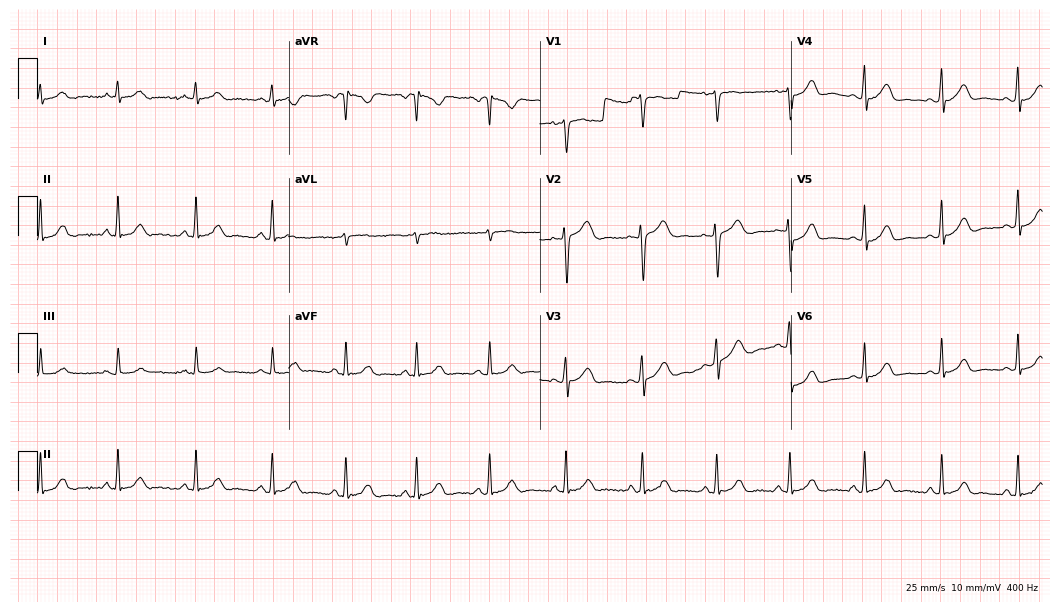
Standard 12-lead ECG recorded from a woman, 22 years old (10.2-second recording at 400 Hz). None of these six findings is recorded: first-degree AV block, right bundle branch block (RBBB), left bundle branch block (LBBB), sinus bradycardia, atrial fibrillation (AF), sinus tachycardia.